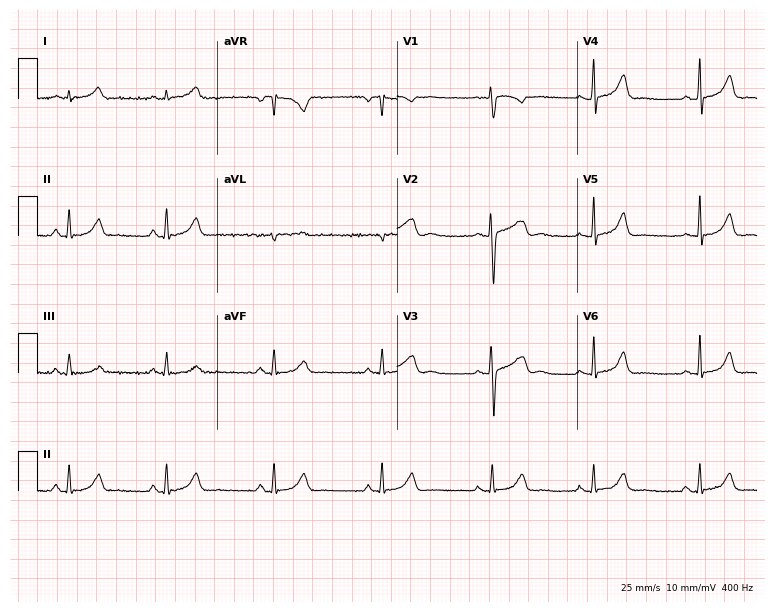
Resting 12-lead electrocardiogram. Patient: a female, 30 years old. Read as a normal ECG.